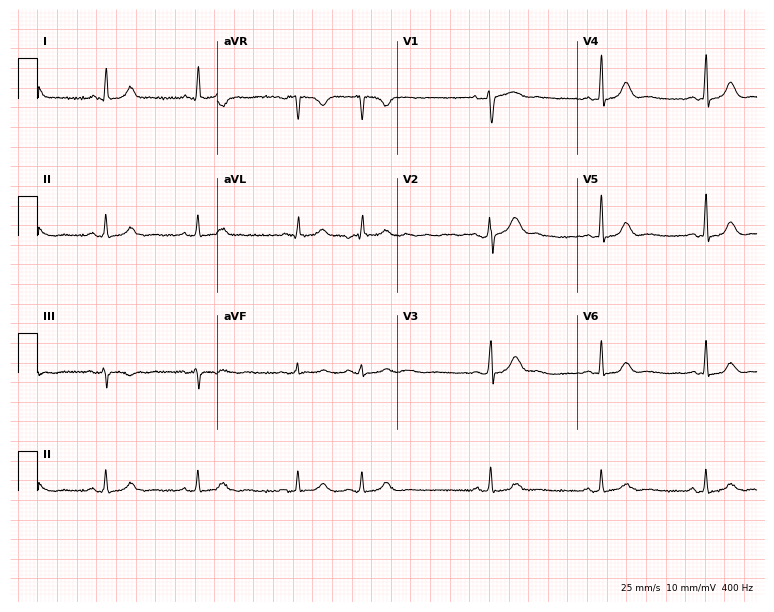
Standard 12-lead ECG recorded from a female patient, 41 years old (7.3-second recording at 400 Hz). Read as a normal ECG.